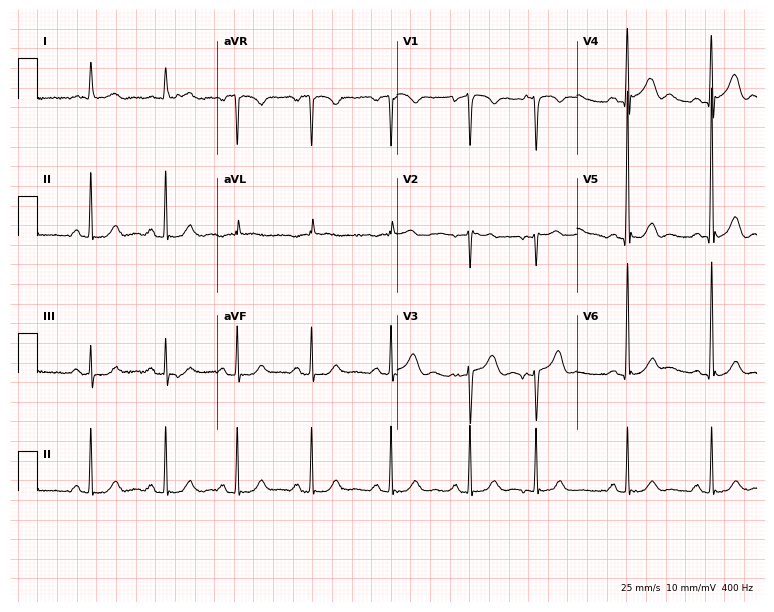
ECG — a 64-year-old male patient. Screened for six findings — first-degree AV block, right bundle branch block, left bundle branch block, sinus bradycardia, atrial fibrillation, sinus tachycardia — none is recorded. Other findings, if any, are not listed.